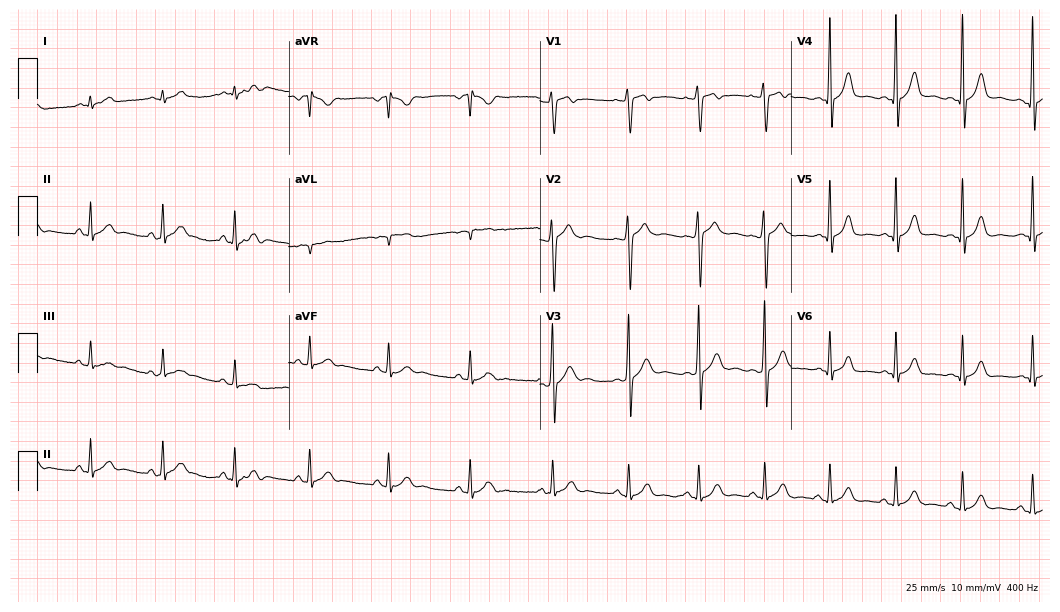
Standard 12-lead ECG recorded from a male, 19 years old. None of these six findings is recorded: first-degree AV block, right bundle branch block, left bundle branch block, sinus bradycardia, atrial fibrillation, sinus tachycardia. Only these six findings were labelled.